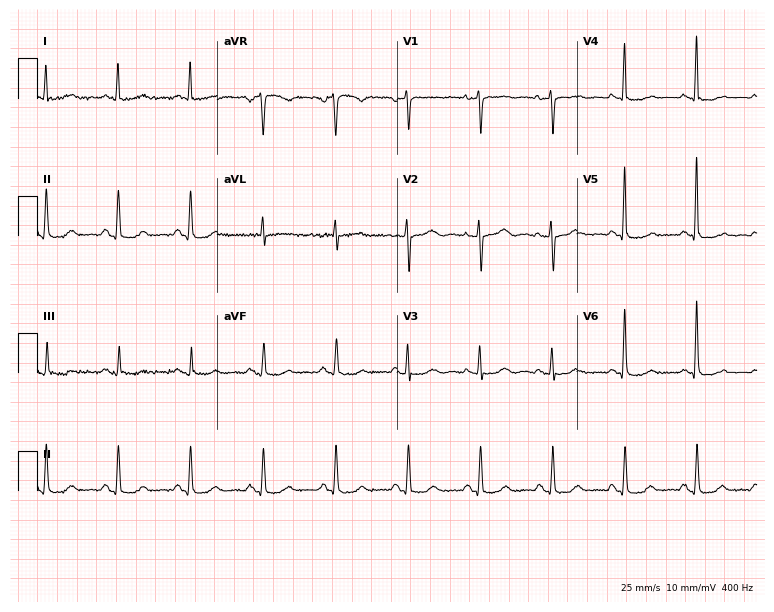
ECG — a 67-year-old woman. Screened for six findings — first-degree AV block, right bundle branch block, left bundle branch block, sinus bradycardia, atrial fibrillation, sinus tachycardia — none is recorded.